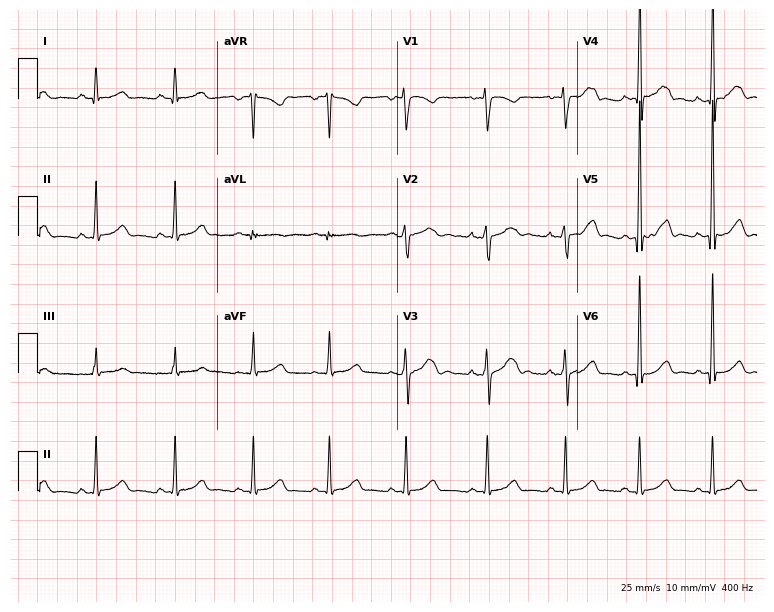
ECG — a 26-year-old female. Screened for six findings — first-degree AV block, right bundle branch block (RBBB), left bundle branch block (LBBB), sinus bradycardia, atrial fibrillation (AF), sinus tachycardia — none is recorded.